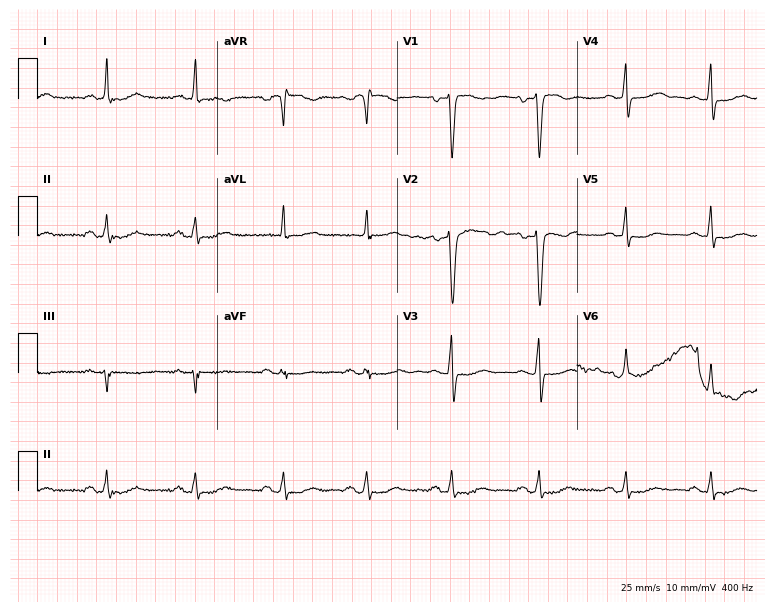
ECG (7.3-second recording at 400 Hz) — a 44-year-old female. Labelled as a normal ECG.